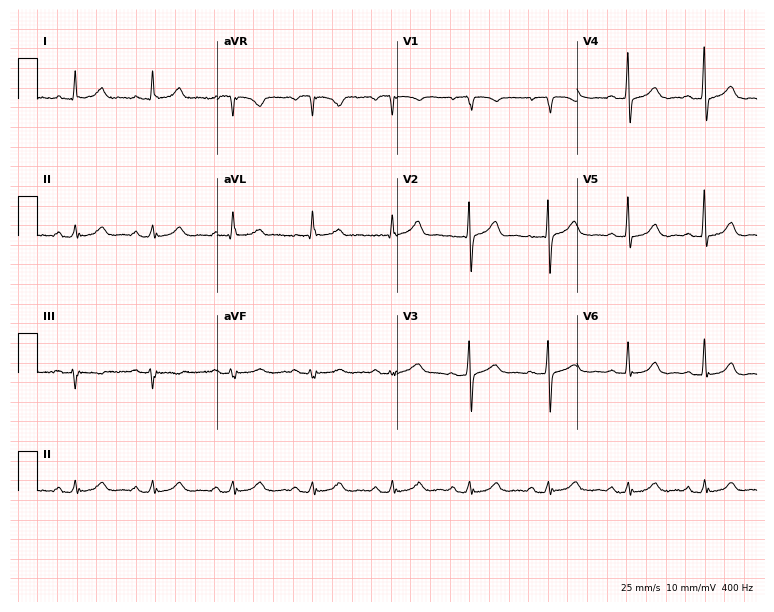
Resting 12-lead electrocardiogram. Patient: a female, 79 years old. Read as a normal ECG.